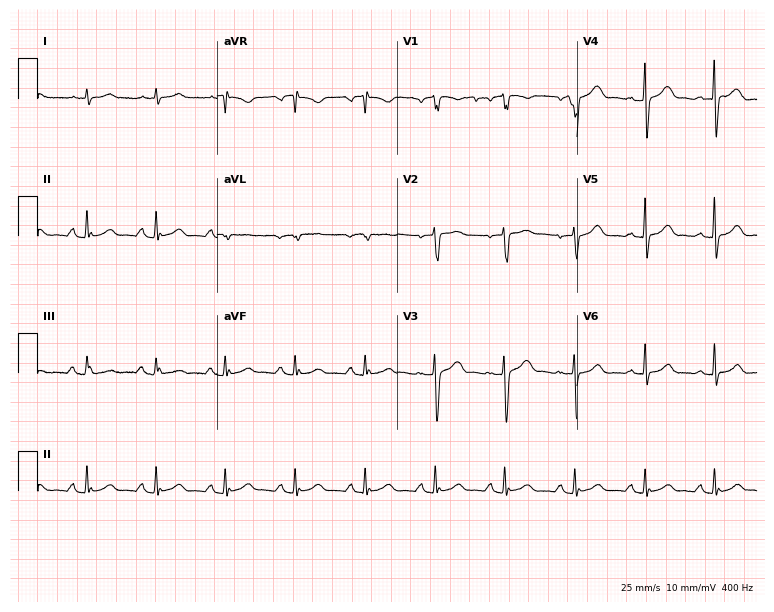
Electrocardiogram, a 70-year-old man. Overall reading on record: normal ECG.